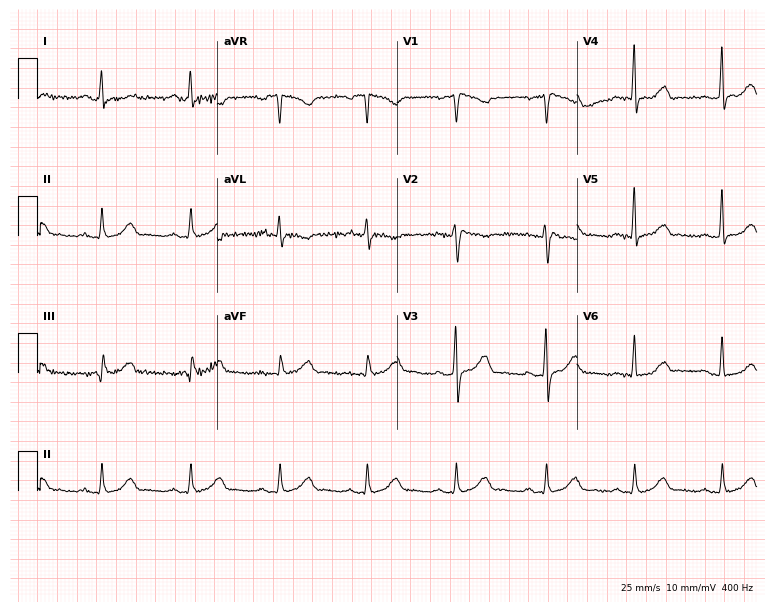
Resting 12-lead electrocardiogram. Patient: a 48-year-old woman. Read as a normal ECG.